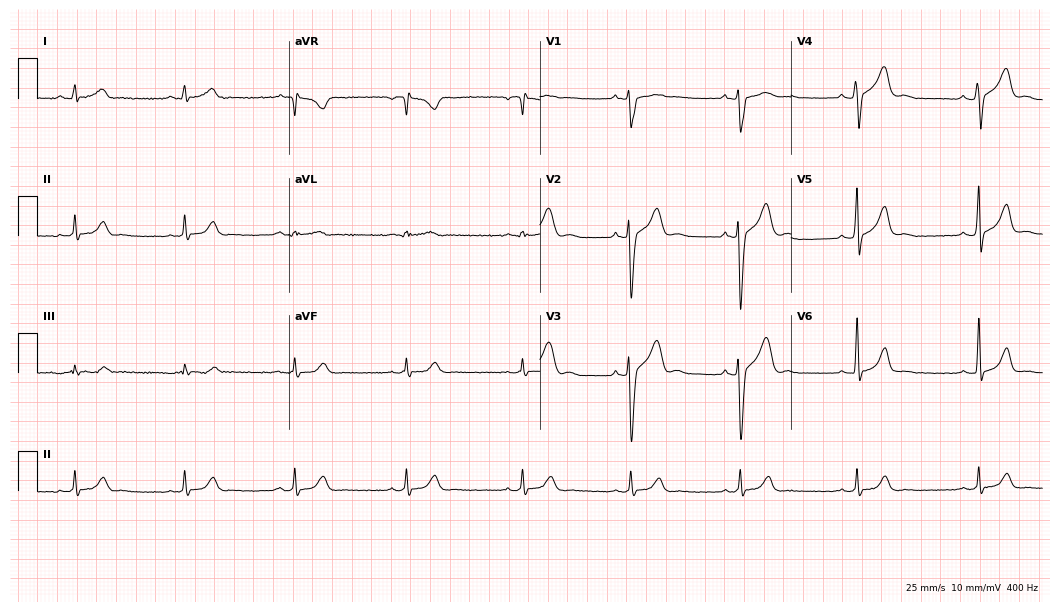
ECG (10.2-second recording at 400 Hz) — a male patient, 33 years old. Labelled as a normal ECG.